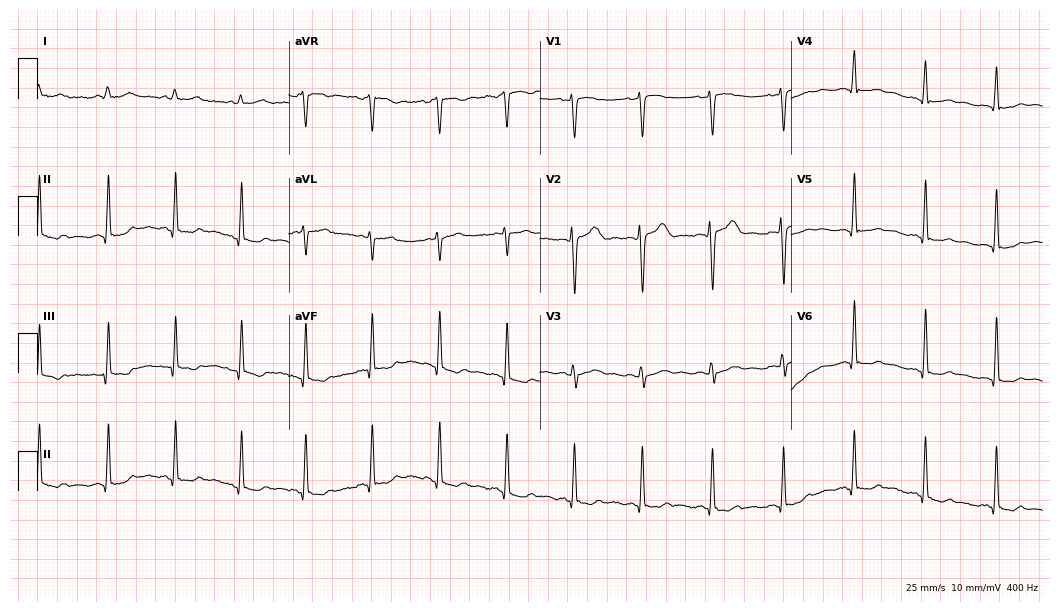
12-lead ECG from a female, 30 years old (10.2-second recording at 400 Hz). No first-degree AV block, right bundle branch block, left bundle branch block, sinus bradycardia, atrial fibrillation or sinus tachycardia recorded for this tracing.